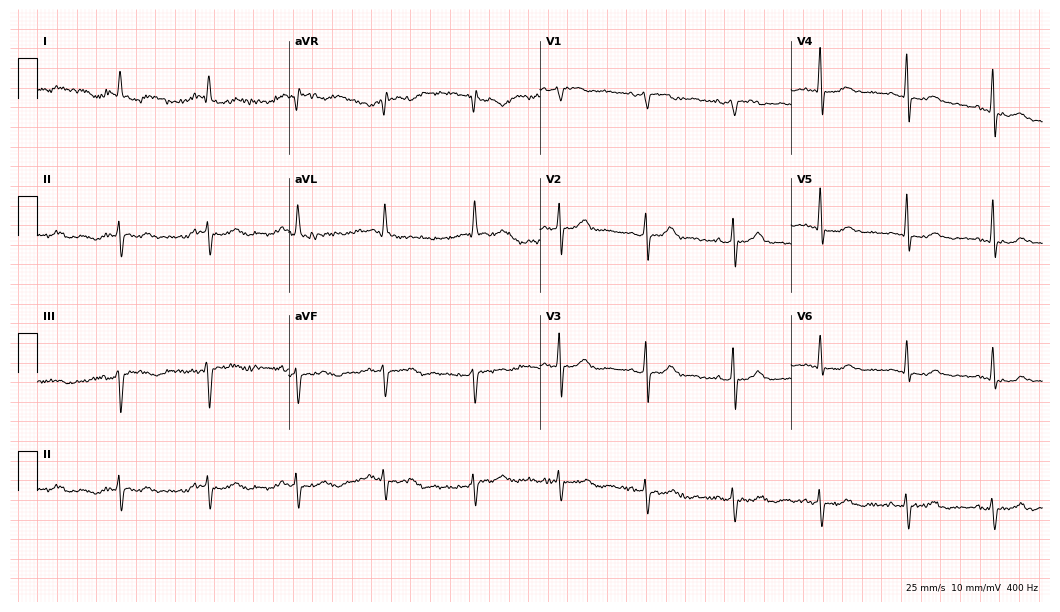
Standard 12-lead ECG recorded from a 71-year-old female. None of these six findings is recorded: first-degree AV block, right bundle branch block (RBBB), left bundle branch block (LBBB), sinus bradycardia, atrial fibrillation (AF), sinus tachycardia. Findings outside these six are not listed.